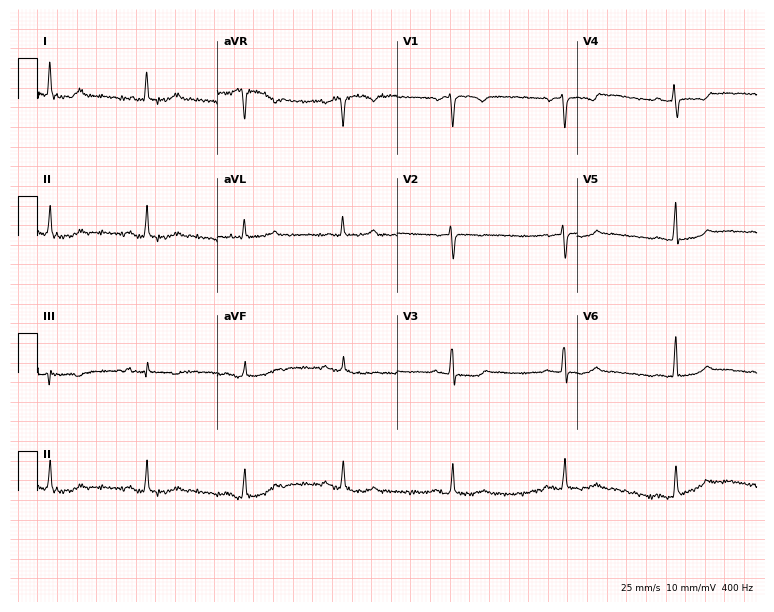
ECG (7.3-second recording at 400 Hz) — a woman, 65 years old. Labelled as a normal ECG.